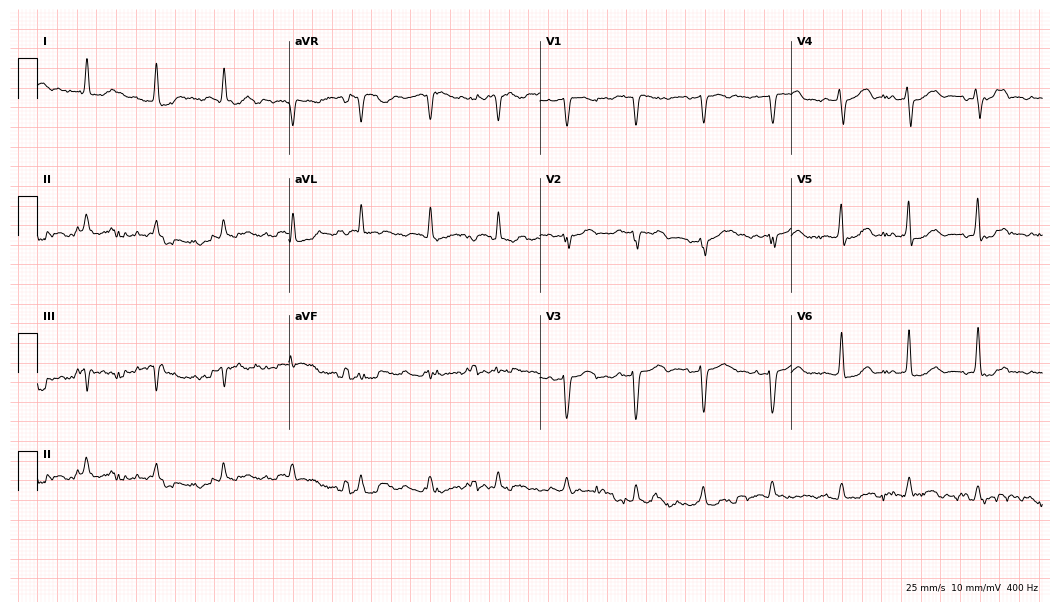
Electrocardiogram, an 80-year-old female. Of the six screened findings (first-degree AV block, right bundle branch block, left bundle branch block, sinus bradycardia, atrial fibrillation, sinus tachycardia), none is recorded.